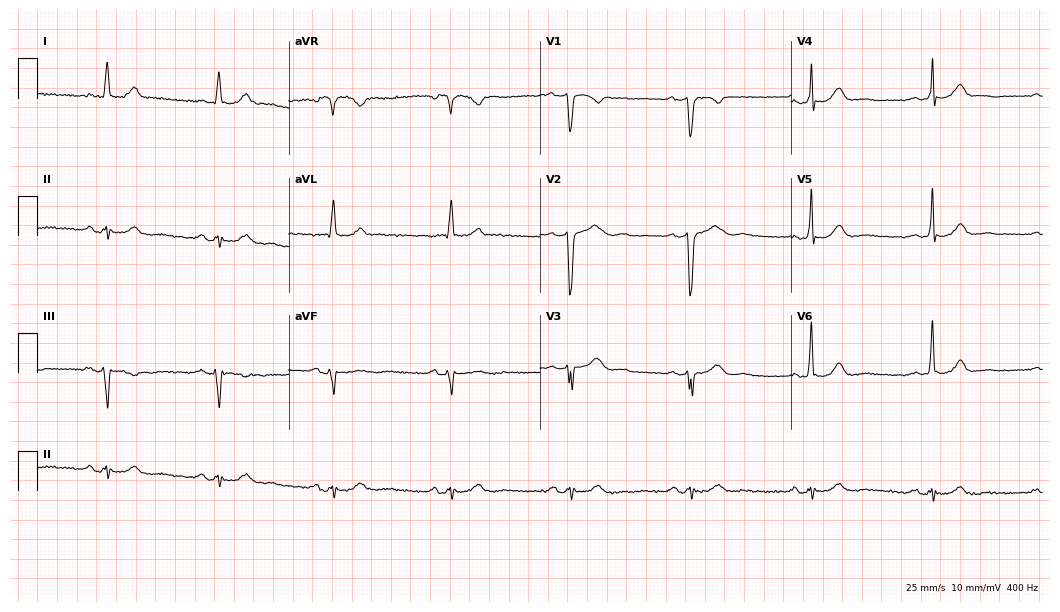
Electrocardiogram (10.2-second recording at 400 Hz), a 75-year-old man. Of the six screened findings (first-degree AV block, right bundle branch block, left bundle branch block, sinus bradycardia, atrial fibrillation, sinus tachycardia), none is recorded. Other findings, if any, are not listed.